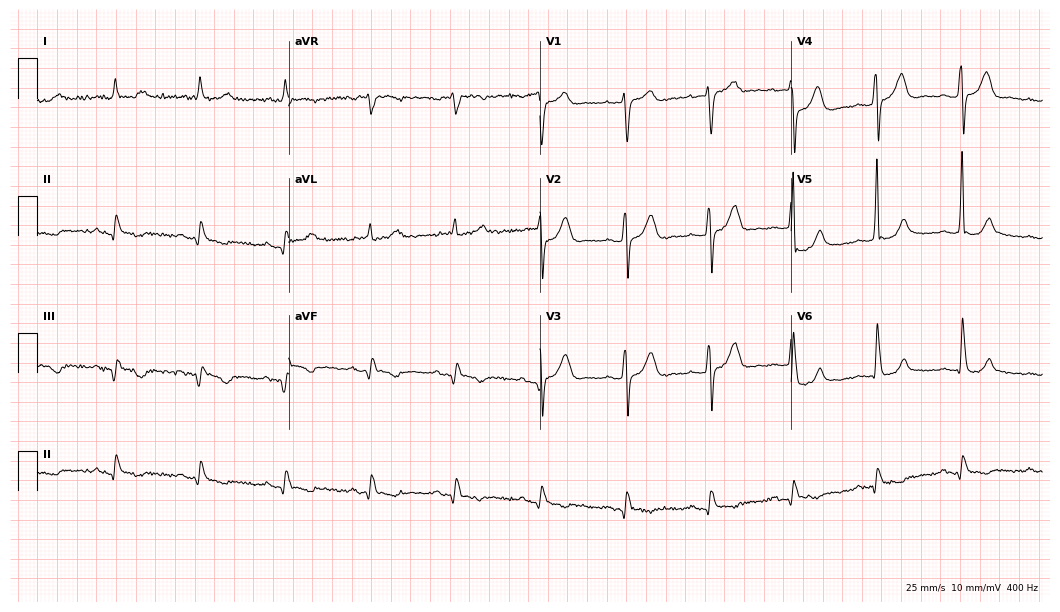
Standard 12-lead ECG recorded from a male patient, 79 years old. None of these six findings is recorded: first-degree AV block, right bundle branch block (RBBB), left bundle branch block (LBBB), sinus bradycardia, atrial fibrillation (AF), sinus tachycardia.